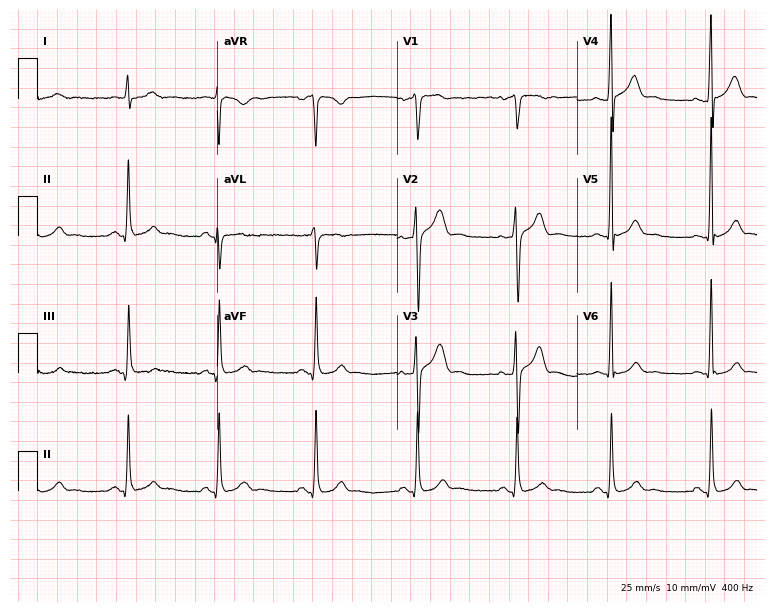
Electrocardiogram, a 33-year-old man. Overall reading on record: normal ECG.